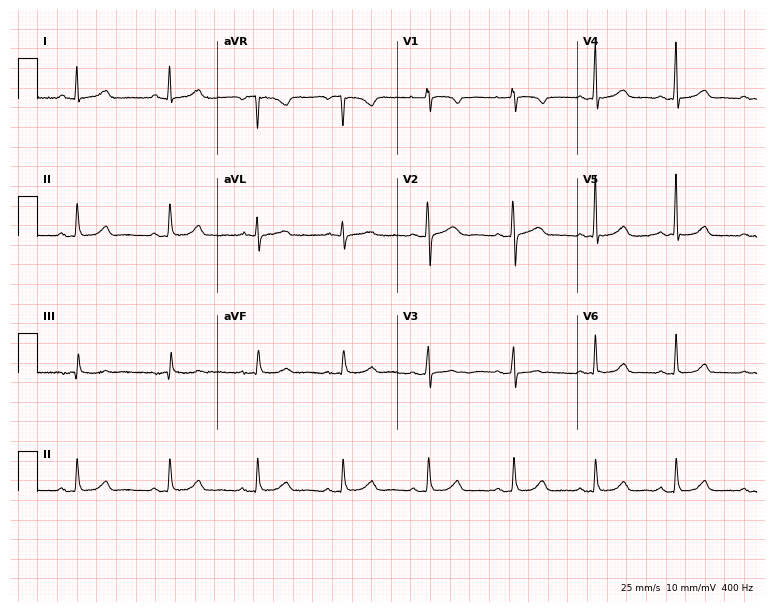
Standard 12-lead ECG recorded from a 63-year-old female. Read as a normal ECG.